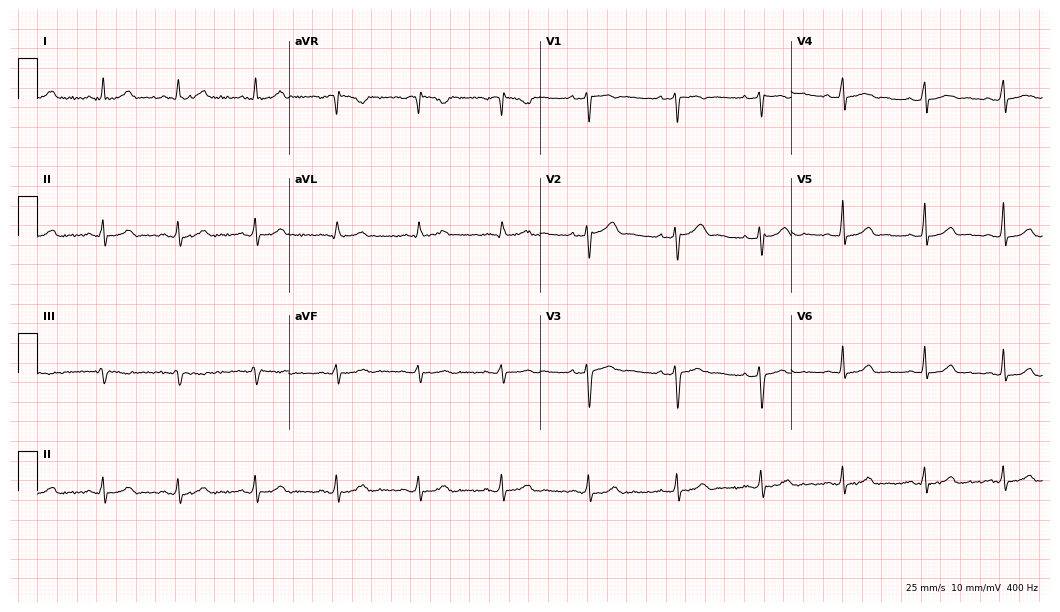
12-lead ECG from a 27-year-old female patient (10.2-second recording at 400 Hz). Recorded interpretation: within normal limits.